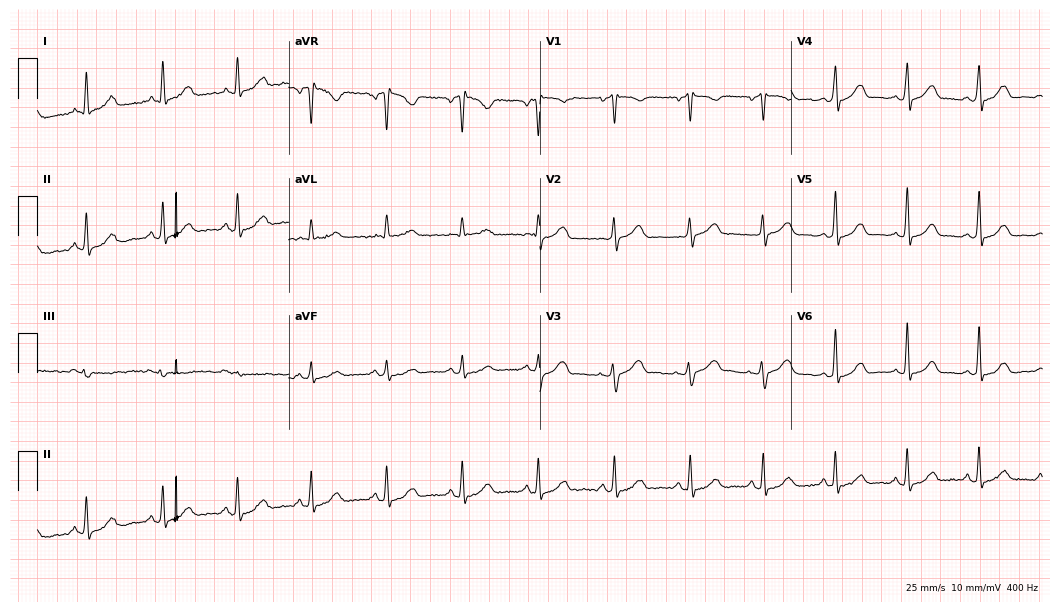
Resting 12-lead electrocardiogram. Patient: a female, 39 years old. Read as a normal ECG.